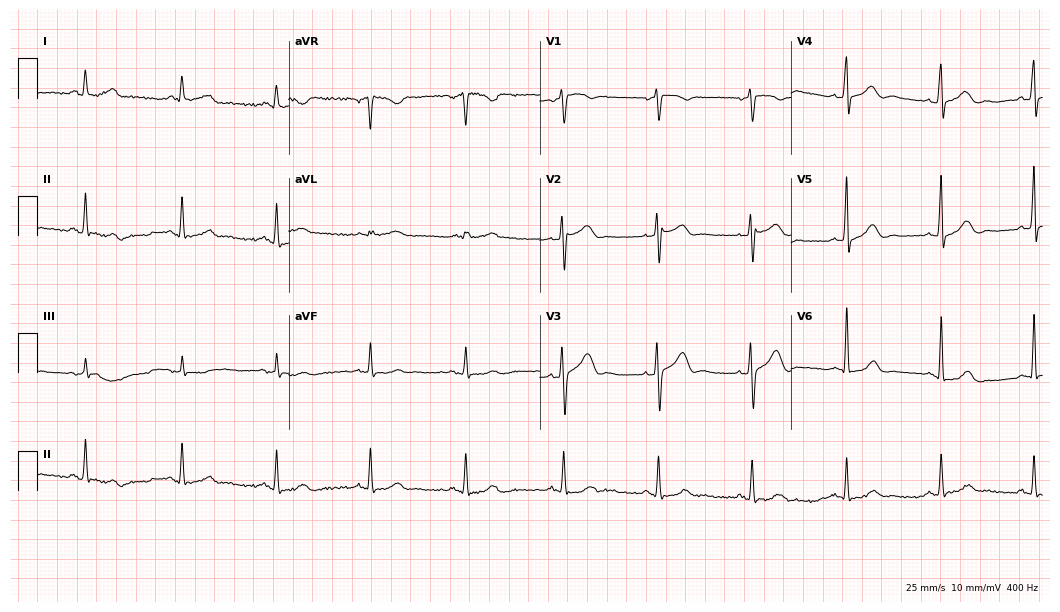
12-lead ECG from a 38-year-old male patient (10.2-second recording at 400 Hz). Recorded interpretation: within normal limits.